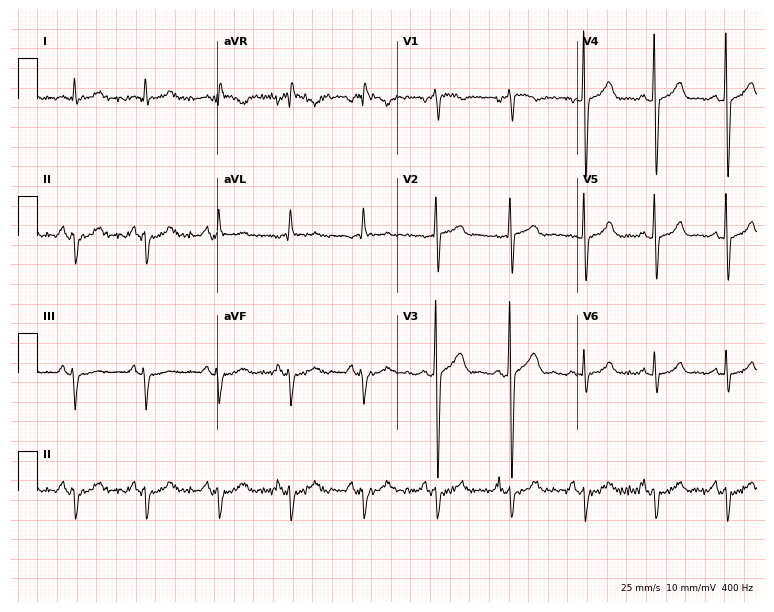
ECG (7.3-second recording at 400 Hz) — a 54-year-old man. Screened for six findings — first-degree AV block, right bundle branch block, left bundle branch block, sinus bradycardia, atrial fibrillation, sinus tachycardia — none is recorded. Other findings, if any, are not listed.